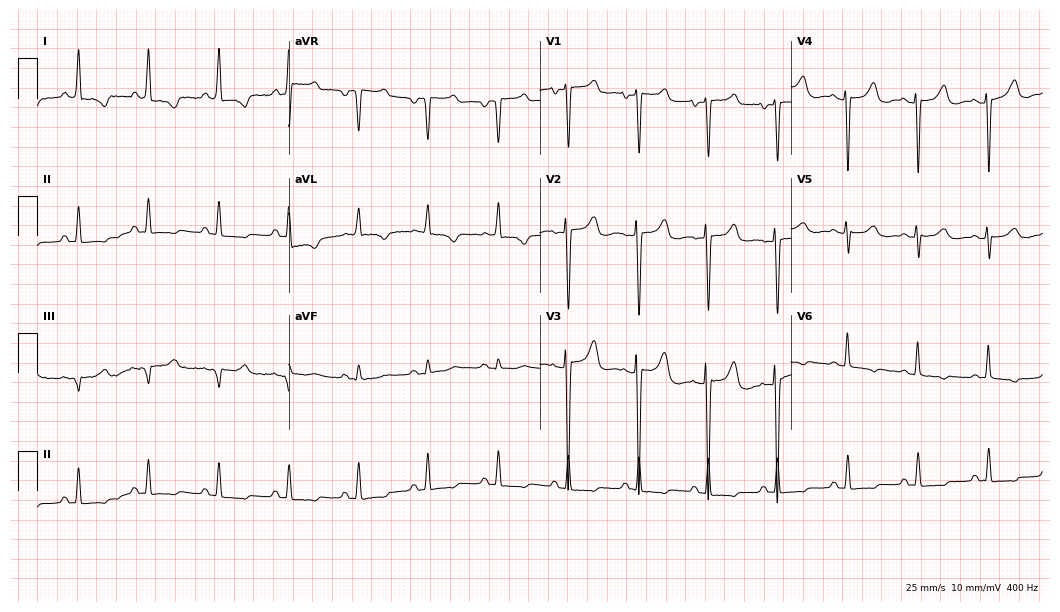
12-lead ECG from a woman, 64 years old. Screened for six findings — first-degree AV block, right bundle branch block, left bundle branch block, sinus bradycardia, atrial fibrillation, sinus tachycardia — none is recorded.